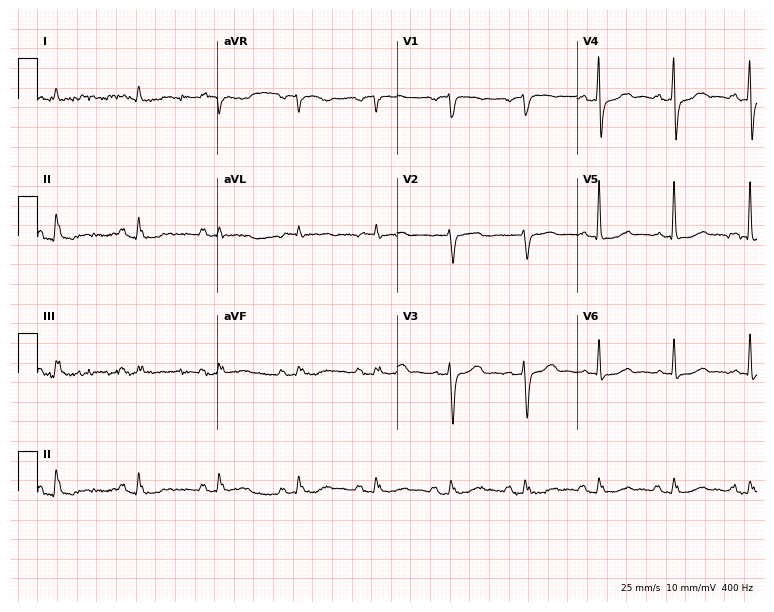
12-lead ECG from a male patient, 73 years old. Screened for six findings — first-degree AV block, right bundle branch block, left bundle branch block, sinus bradycardia, atrial fibrillation, sinus tachycardia — none is recorded.